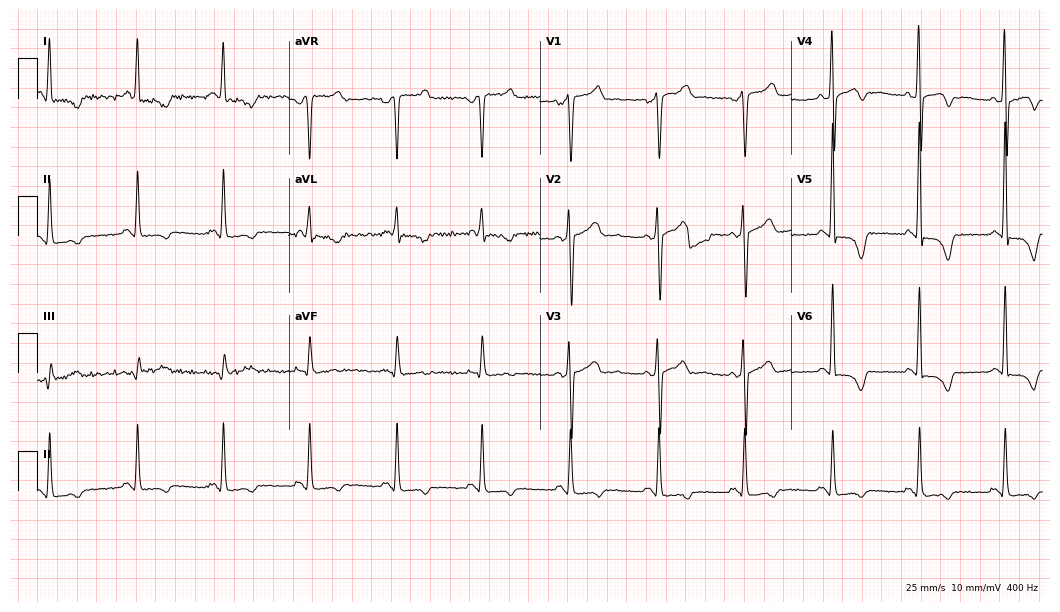
Electrocardiogram (10.2-second recording at 400 Hz), a 48-year-old male patient. Of the six screened findings (first-degree AV block, right bundle branch block (RBBB), left bundle branch block (LBBB), sinus bradycardia, atrial fibrillation (AF), sinus tachycardia), none is recorded. Findings outside these six are not listed.